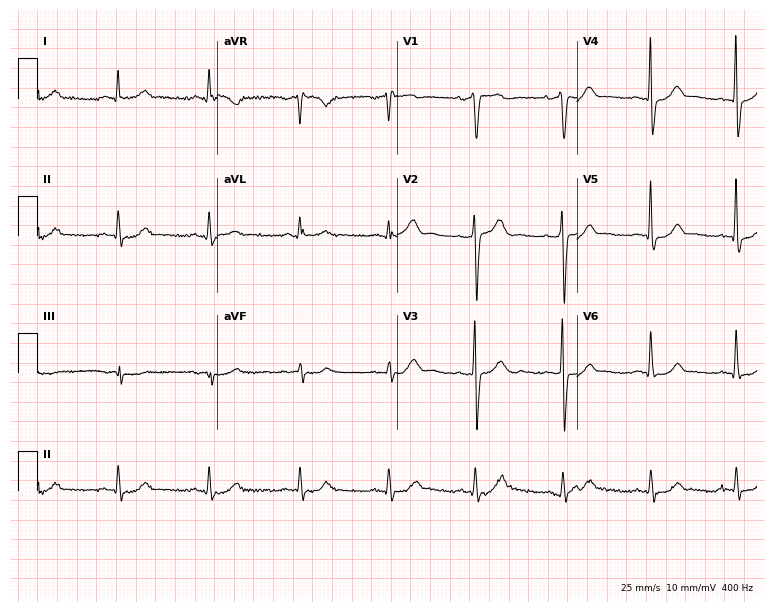
Resting 12-lead electrocardiogram. Patient: a 38-year-old male. None of these six findings is recorded: first-degree AV block, right bundle branch block, left bundle branch block, sinus bradycardia, atrial fibrillation, sinus tachycardia.